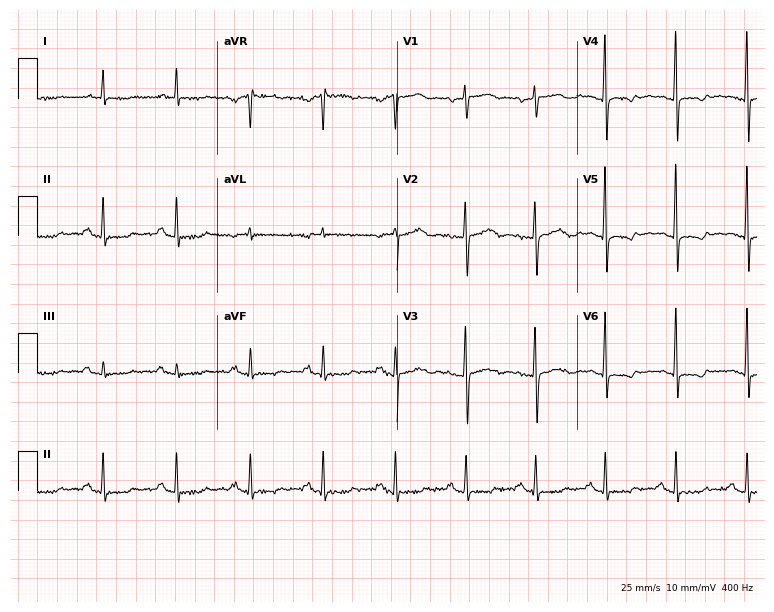
Standard 12-lead ECG recorded from a 60-year-old female patient. None of these six findings is recorded: first-degree AV block, right bundle branch block, left bundle branch block, sinus bradycardia, atrial fibrillation, sinus tachycardia.